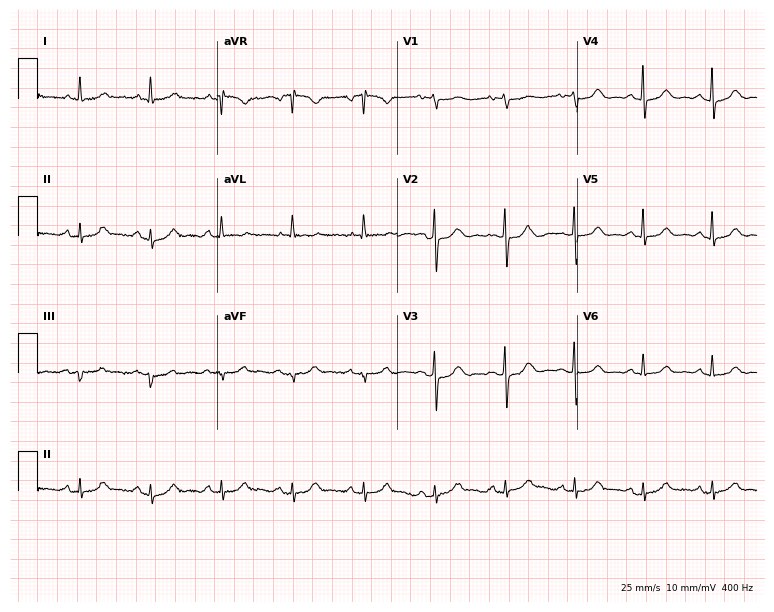
12-lead ECG from a female, 72 years old. Recorded interpretation: within normal limits.